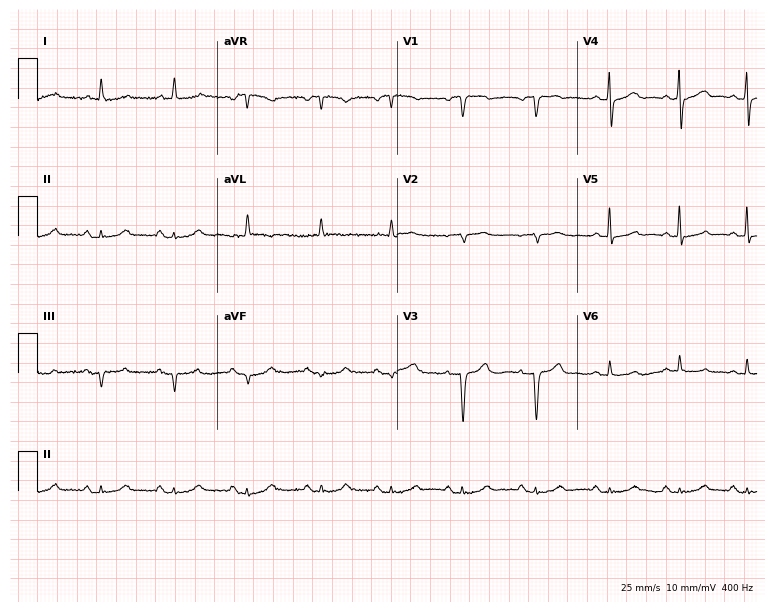
Electrocardiogram (7.3-second recording at 400 Hz), a man, 77 years old. Of the six screened findings (first-degree AV block, right bundle branch block, left bundle branch block, sinus bradycardia, atrial fibrillation, sinus tachycardia), none is recorded.